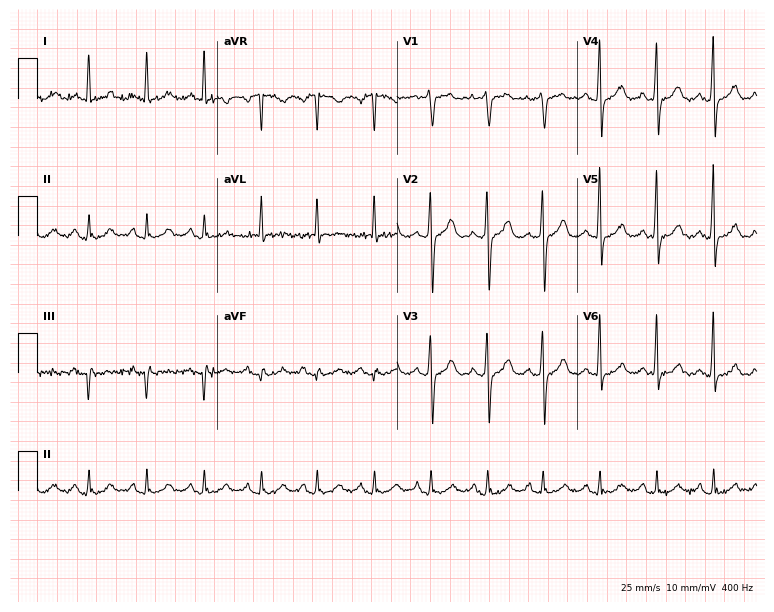
Electrocardiogram (7.3-second recording at 400 Hz), a male patient, 76 years old. Of the six screened findings (first-degree AV block, right bundle branch block, left bundle branch block, sinus bradycardia, atrial fibrillation, sinus tachycardia), none is recorded. Only these six findings were labelled.